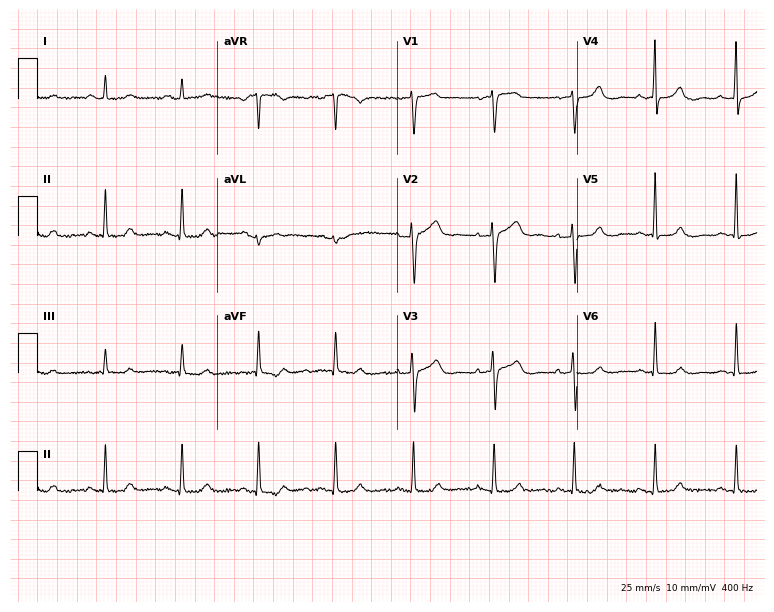
Standard 12-lead ECG recorded from a female, 58 years old (7.3-second recording at 400 Hz). Read as a normal ECG.